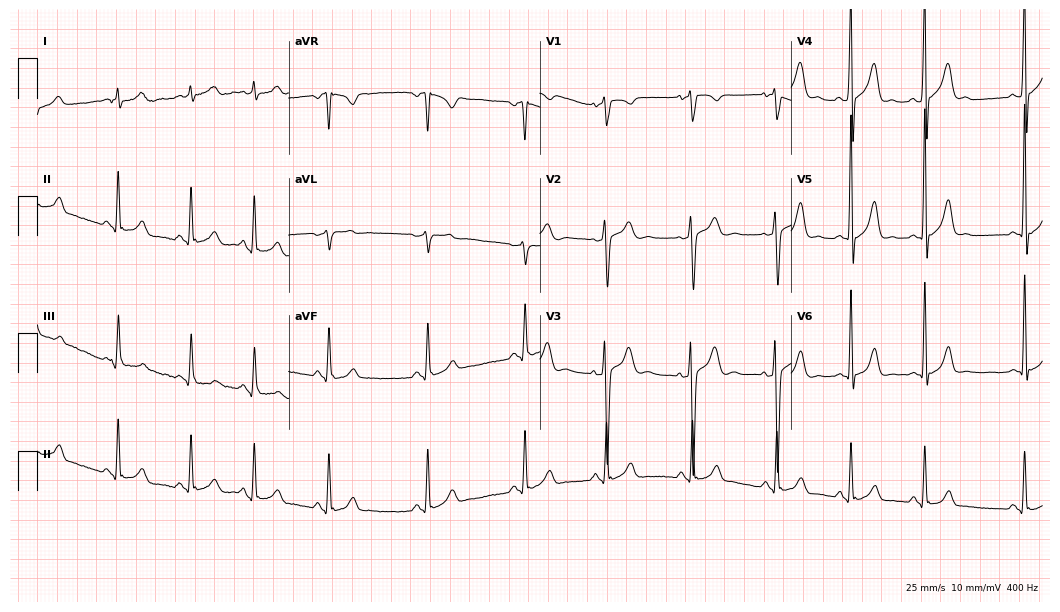
Electrocardiogram, an 18-year-old male. Of the six screened findings (first-degree AV block, right bundle branch block, left bundle branch block, sinus bradycardia, atrial fibrillation, sinus tachycardia), none is recorded. Findings outside these six are not listed.